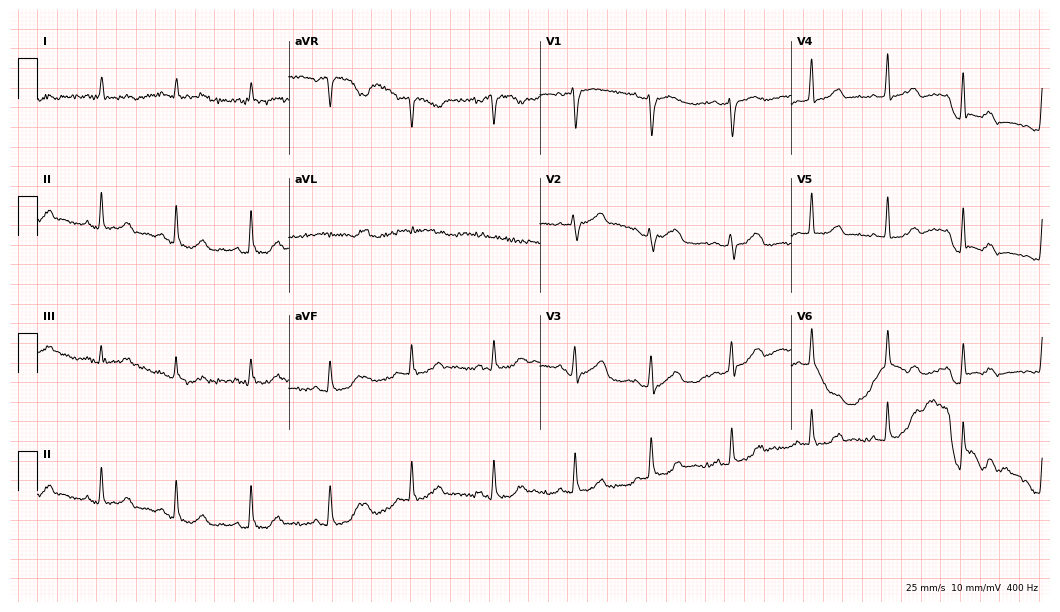
12-lead ECG from a female patient, 78 years old. Labelled as a normal ECG.